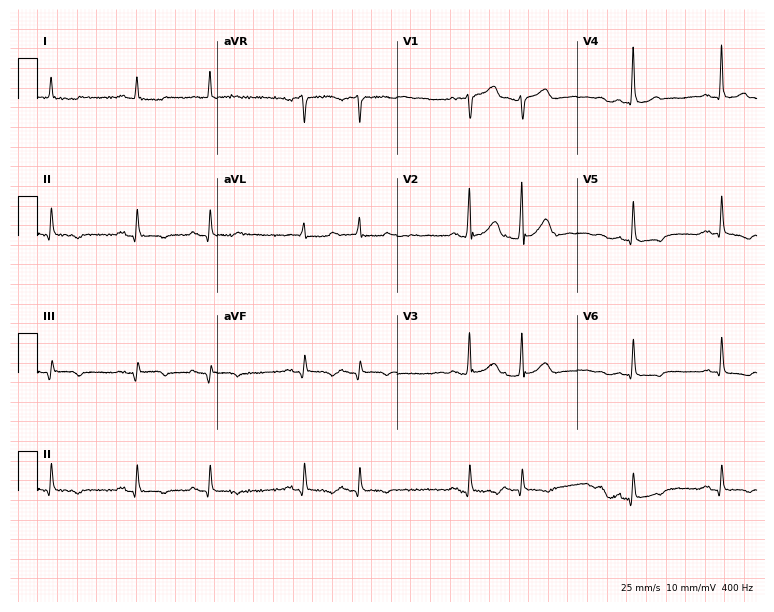
12-lead ECG from an 82-year-old male patient (7.3-second recording at 400 Hz). No first-degree AV block, right bundle branch block, left bundle branch block, sinus bradycardia, atrial fibrillation or sinus tachycardia recorded for this tracing.